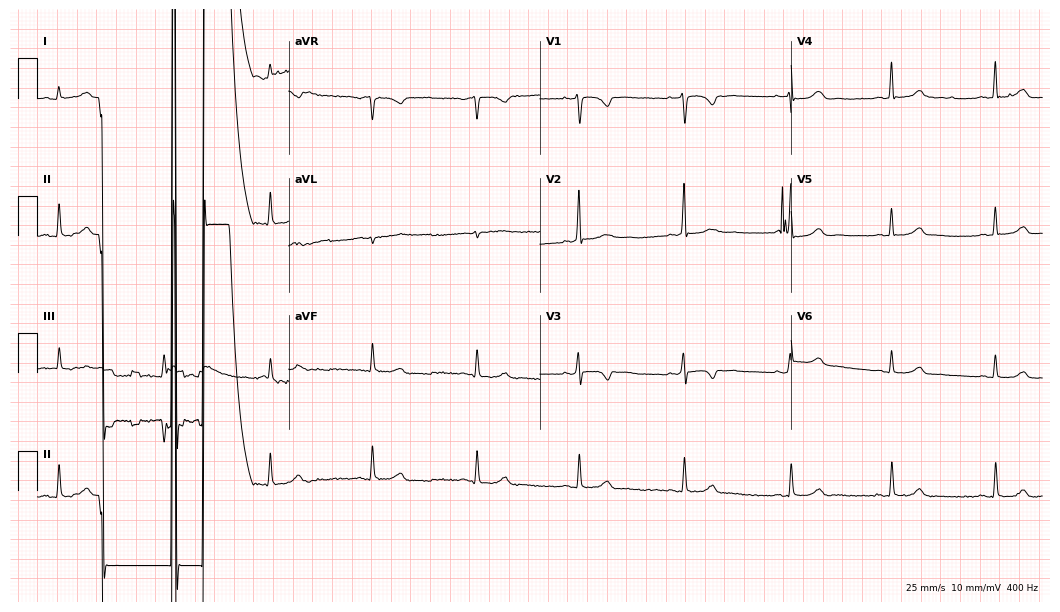
12-lead ECG from a 27-year-old female patient. Screened for six findings — first-degree AV block, right bundle branch block, left bundle branch block, sinus bradycardia, atrial fibrillation, sinus tachycardia — none is recorded. Findings outside these six are not listed.